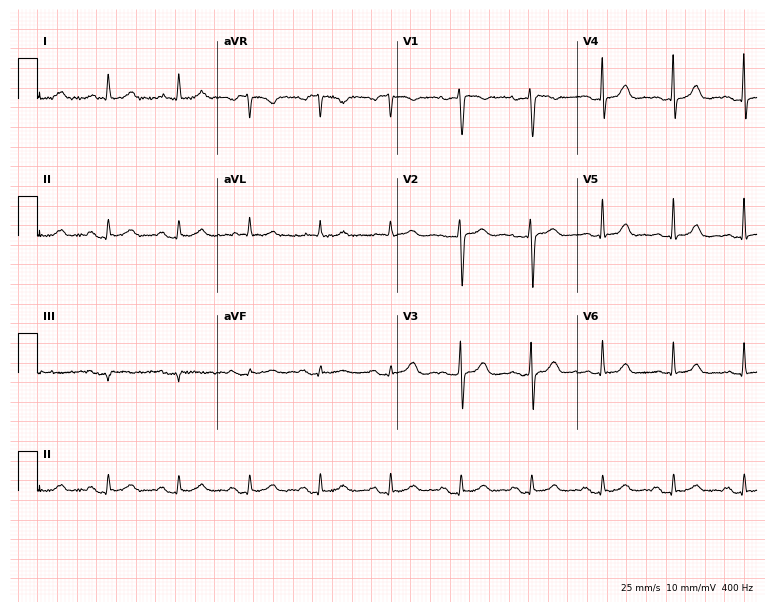
Resting 12-lead electrocardiogram (7.3-second recording at 400 Hz). Patient: a female, 38 years old. None of these six findings is recorded: first-degree AV block, right bundle branch block, left bundle branch block, sinus bradycardia, atrial fibrillation, sinus tachycardia. Findings outside these six are not listed.